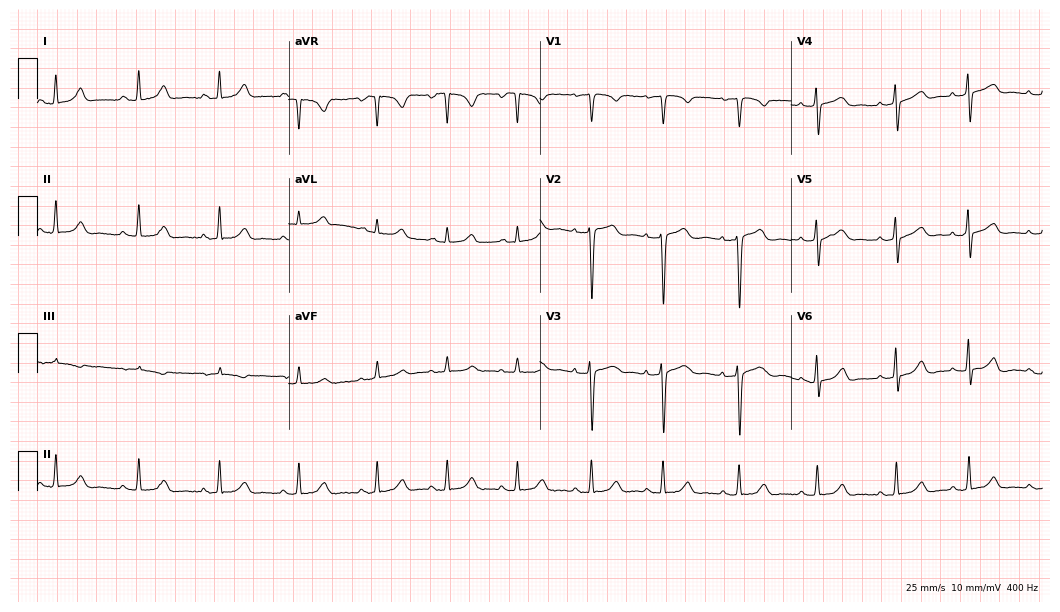
12-lead ECG from a female, 31 years old. Labelled as a normal ECG.